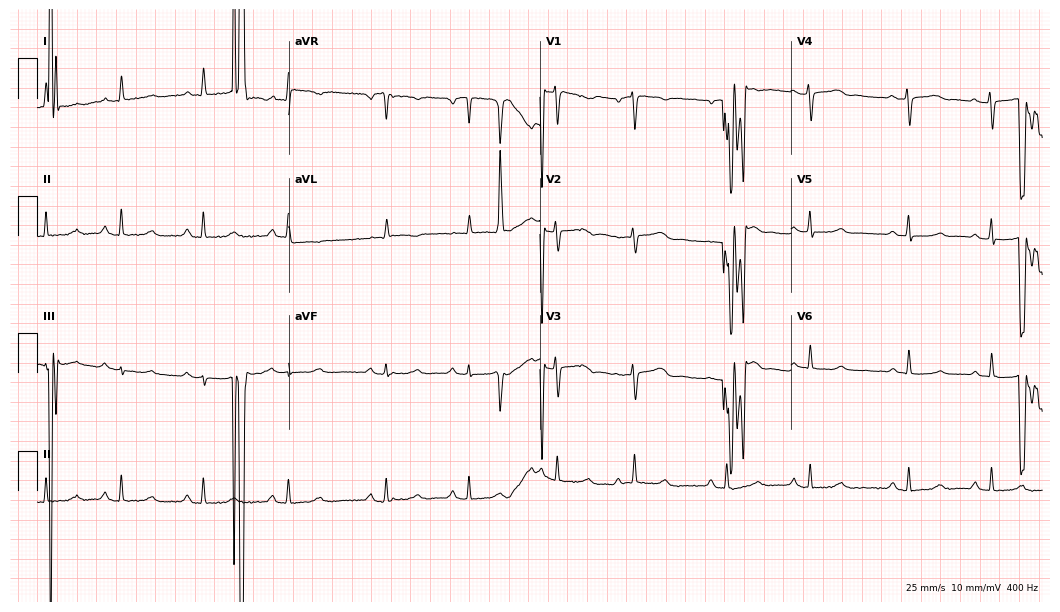
12-lead ECG from a female patient, 49 years old (10.2-second recording at 400 Hz). No first-degree AV block, right bundle branch block, left bundle branch block, sinus bradycardia, atrial fibrillation or sinus tachycardia recorded for this tracing.